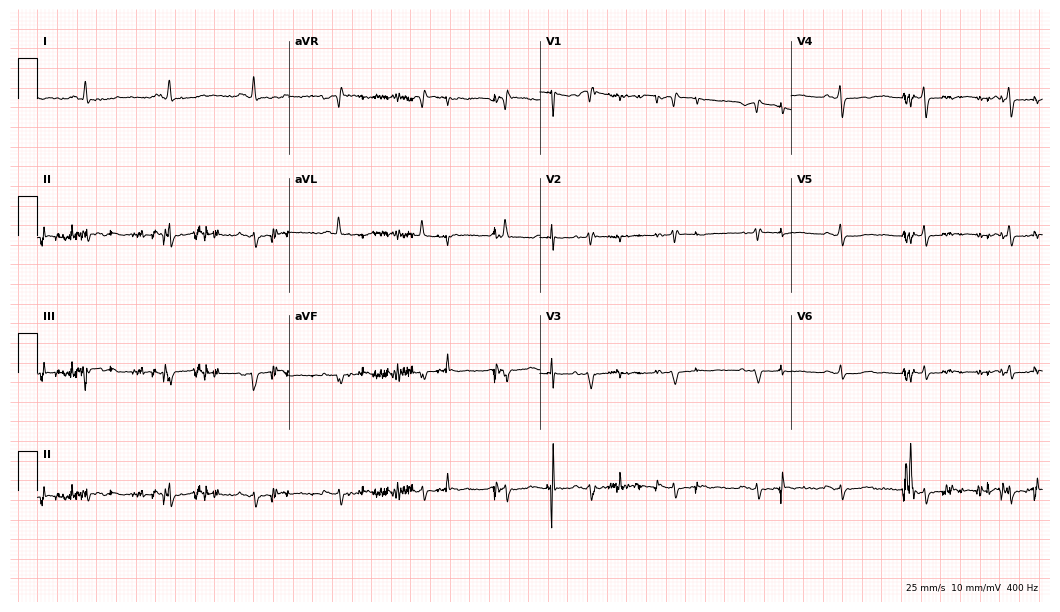
12-lead ECG from a woman, 71 years old. Screened for six findings — first-degree AV block, right bundle branch block, left bundle branch block, sinus bradycardia, atrial fibrillation, sinus tachycardia — none is recorded. Other findings, if any, are not listed.